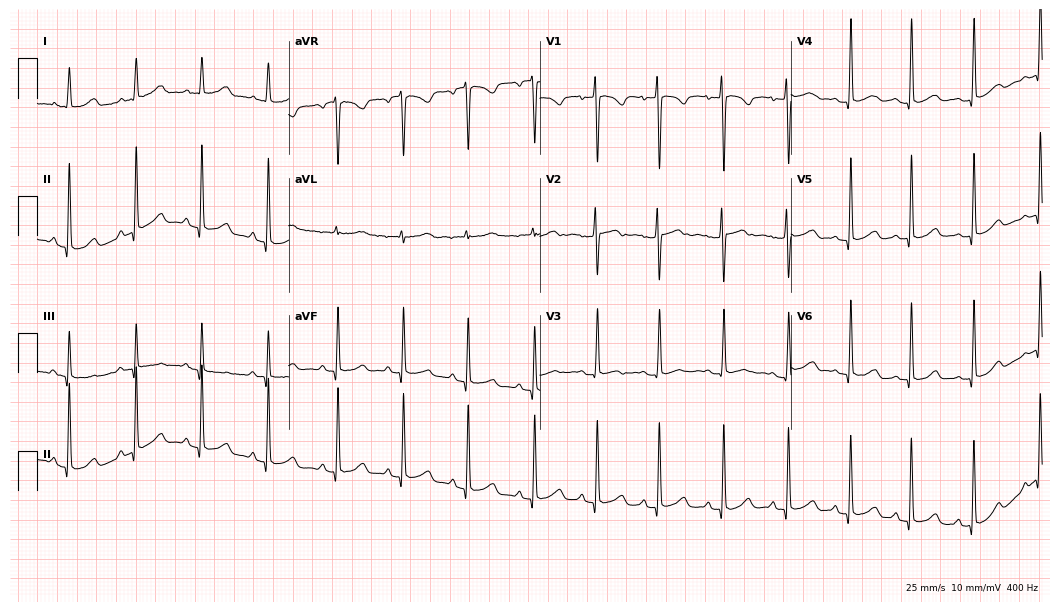
Resting 12-lead electrocardiogram. Patient: a female, 20 years old. Read as a normal ECG.